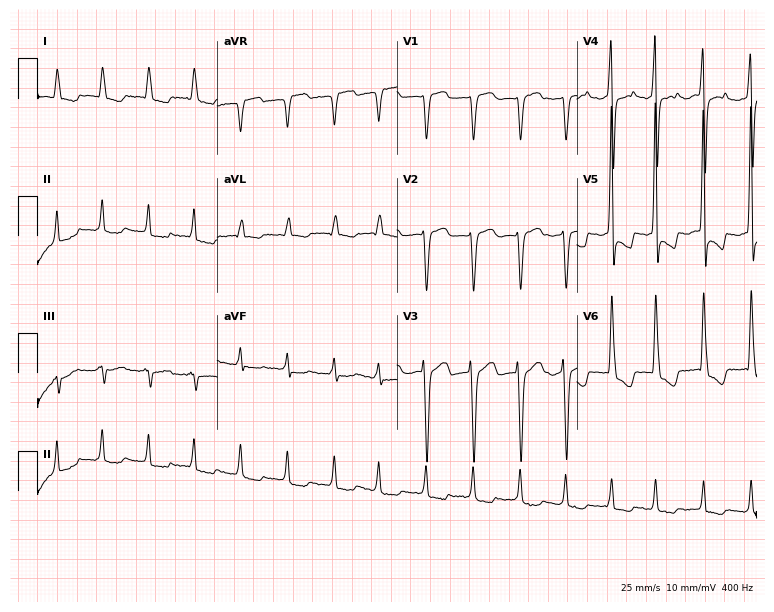
ECG — a 77-year-old female. Screened for six findings — first-degree AV block, right bundle branch block, left bundle branch block, sinus bradycardia, atrial fibrillation, sinus tachycardia — none is recorded. Other findings, if any, are not listed.